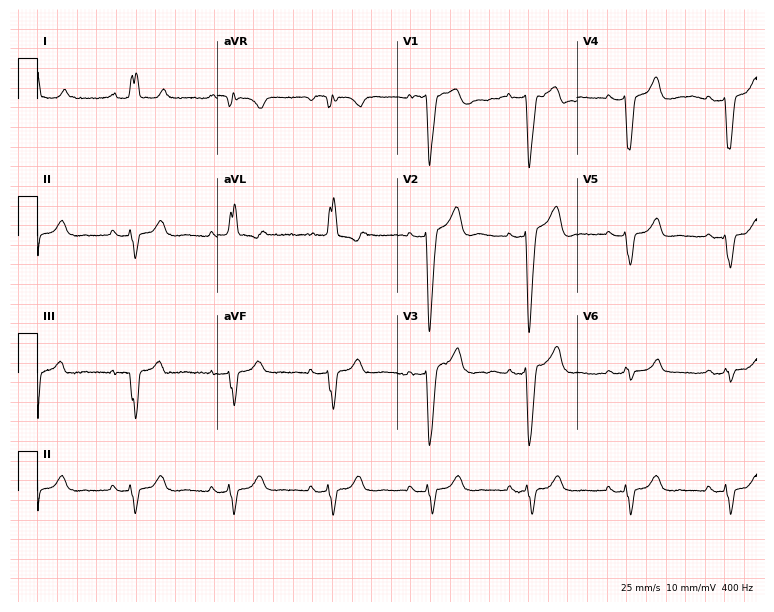
Resting 12-lead electrocardiogram (7.3-second recording at 400 Hz). Patient: a female, 85 years old. The tracing shows left bundle branch block.